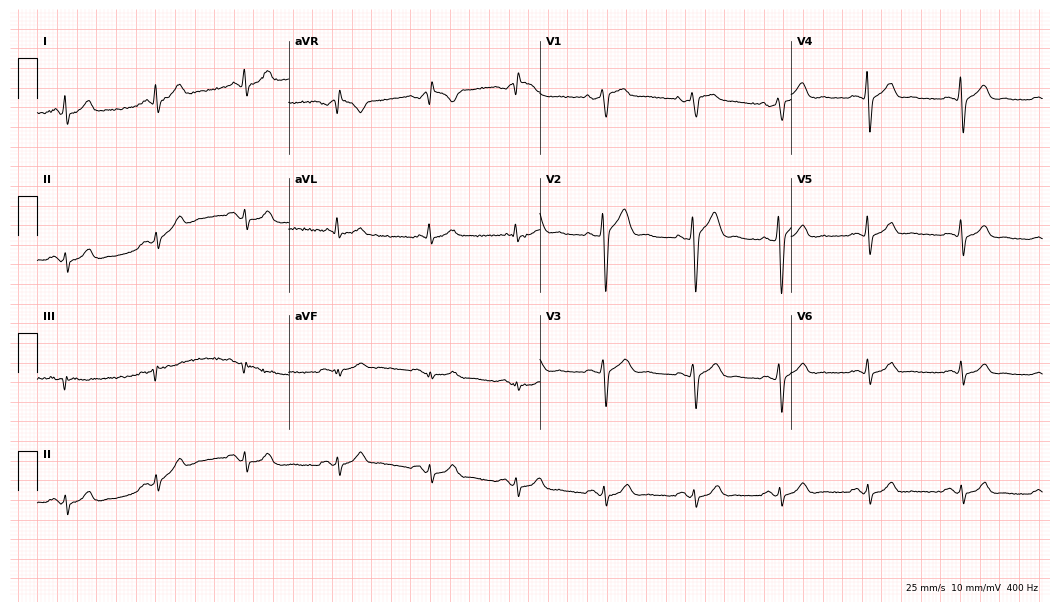
Standard 12-lead ECG recorded from a man, 41 years old (10.2-second recording at 400 Hz). Read as a normal ECG.